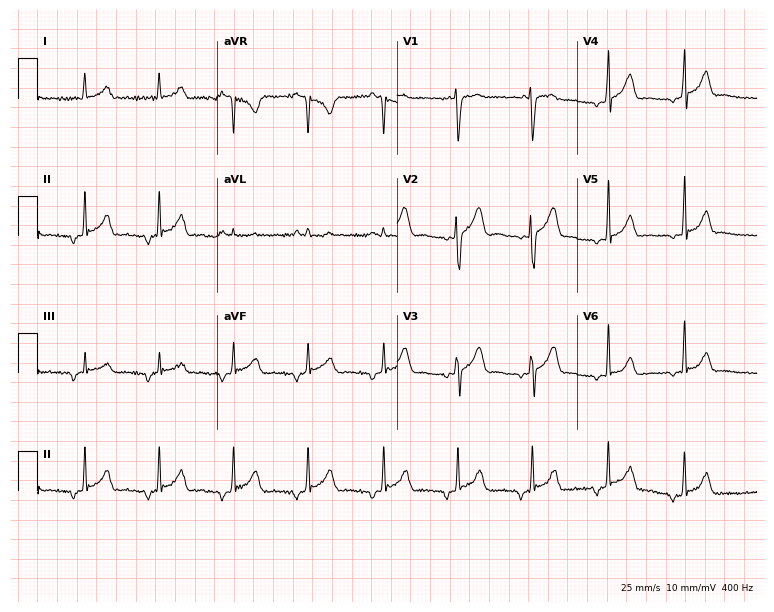
Electrocardiogram, a 19-year-old male patient. Overall reading on record: normal ECG.